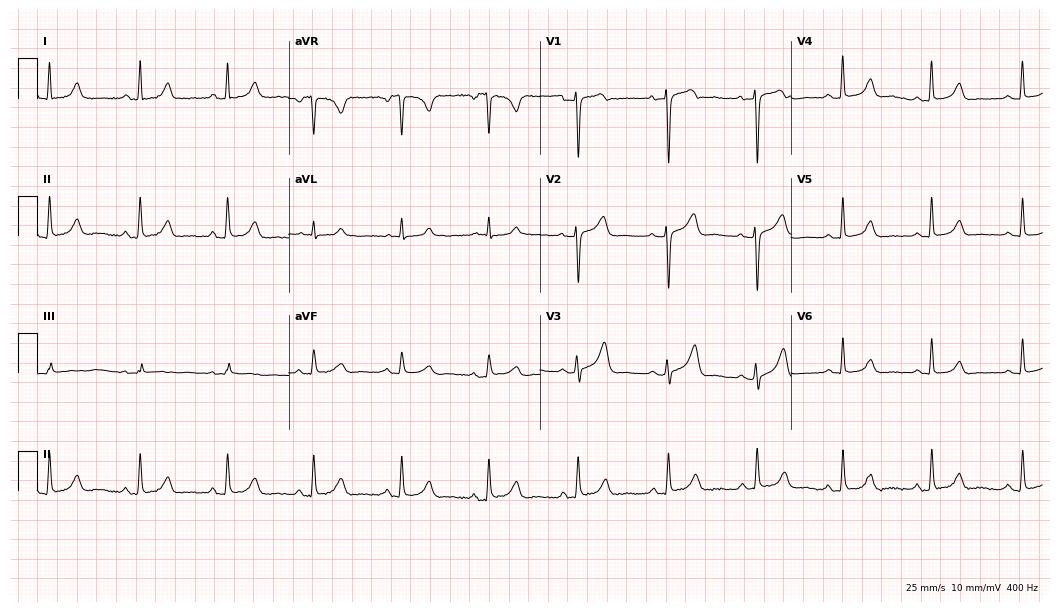
ECG (10.2-second recording at 400 Hz) — a 54-year-old female patient. Labelled as a normal ECG.